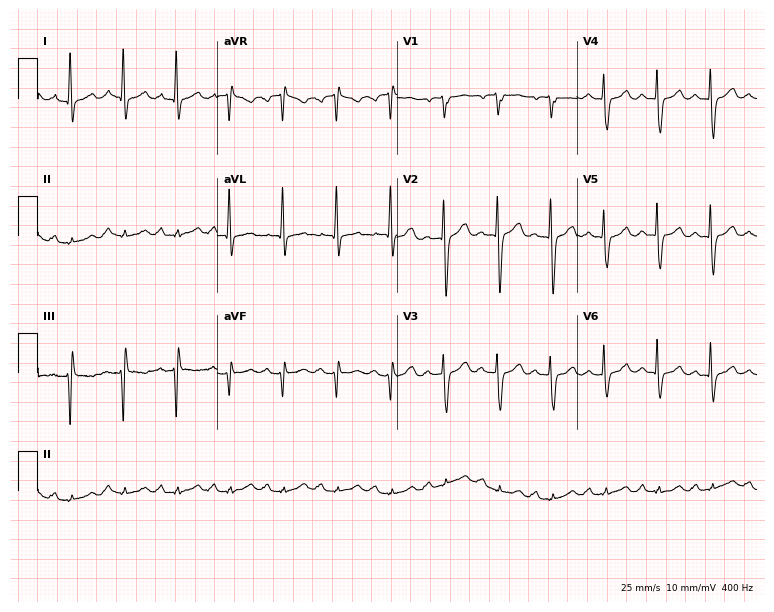
Electrocardiogram (7.3-second recording at 400 Hz), a male, 70 years old. Interpretation includes sinus tachycardia (a sinus rate of 100 beats per minute or more).